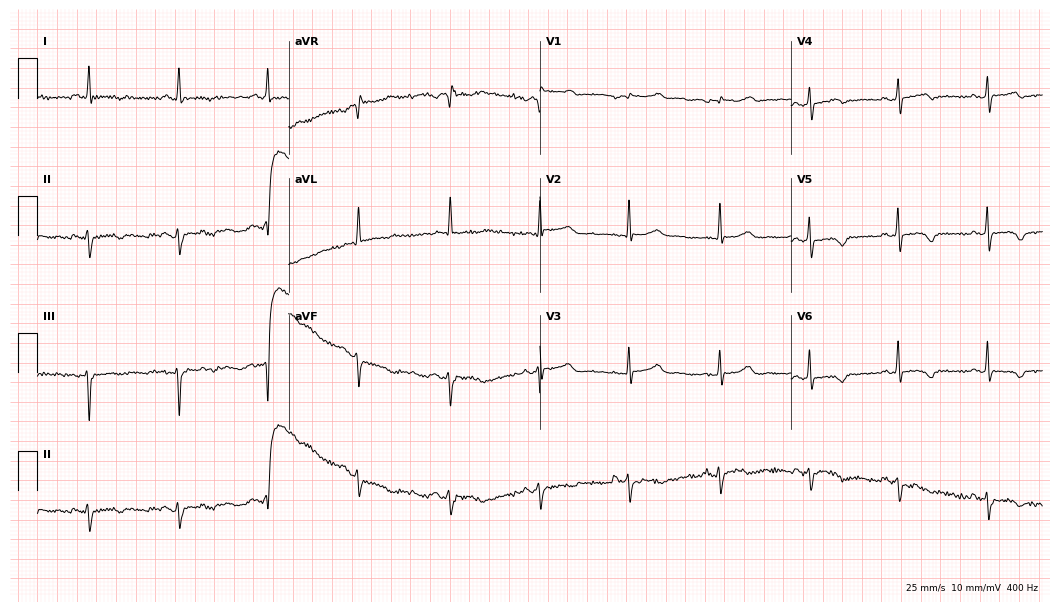
Resting 12-lead electrocardiogram (10.2-second recording at 400 Hz). Patient: a female, 72 years old. None of these six findings is recorded: first-degree AV block, right bundle branch block (RBBB), left bundle branch block (LBBB), sinus bradycardia, atrial fibrillation (AF), sinus tachycardia. Other findings, if any, are not listed.